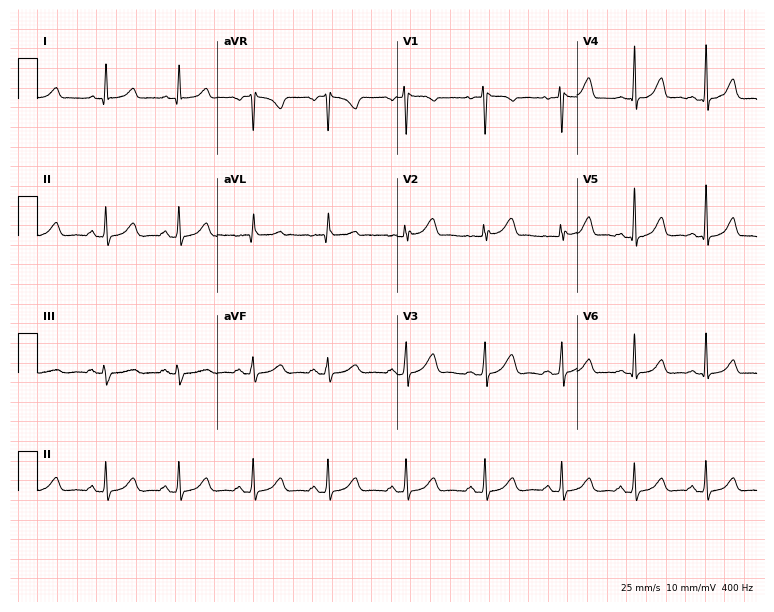
Resting 12-lead electrocardiogram. Patient: a 35-year-old female. Read as a normal ECG.